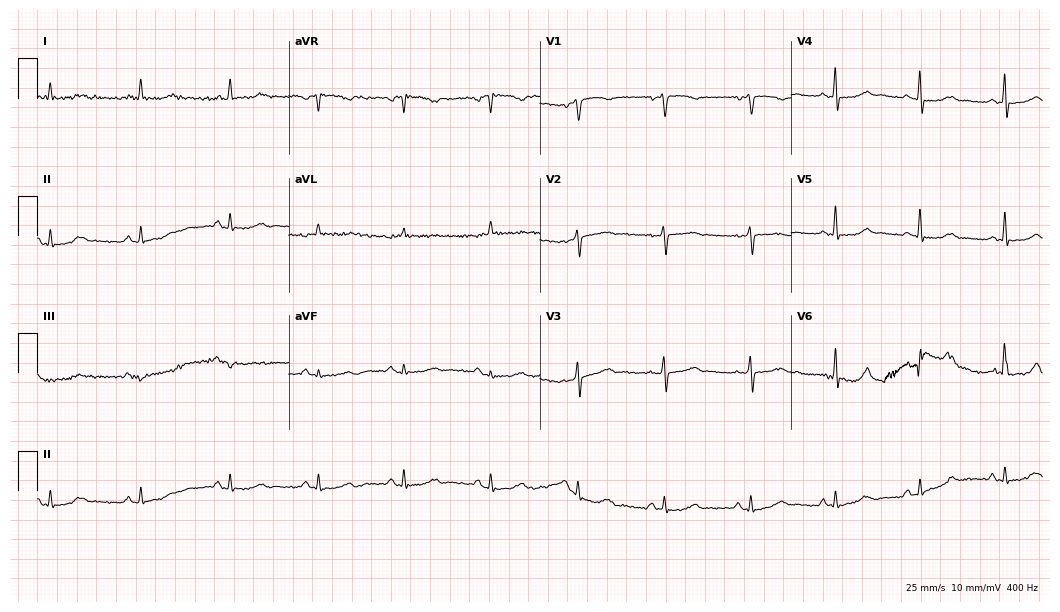
ECG — a 53-year-old woman. Screened for six findings — first-degree AV block, right bundle branch block, left bundle branch block, sinus bradycardia, atrial fibrillation, sinus tachycardia — none is recorded.